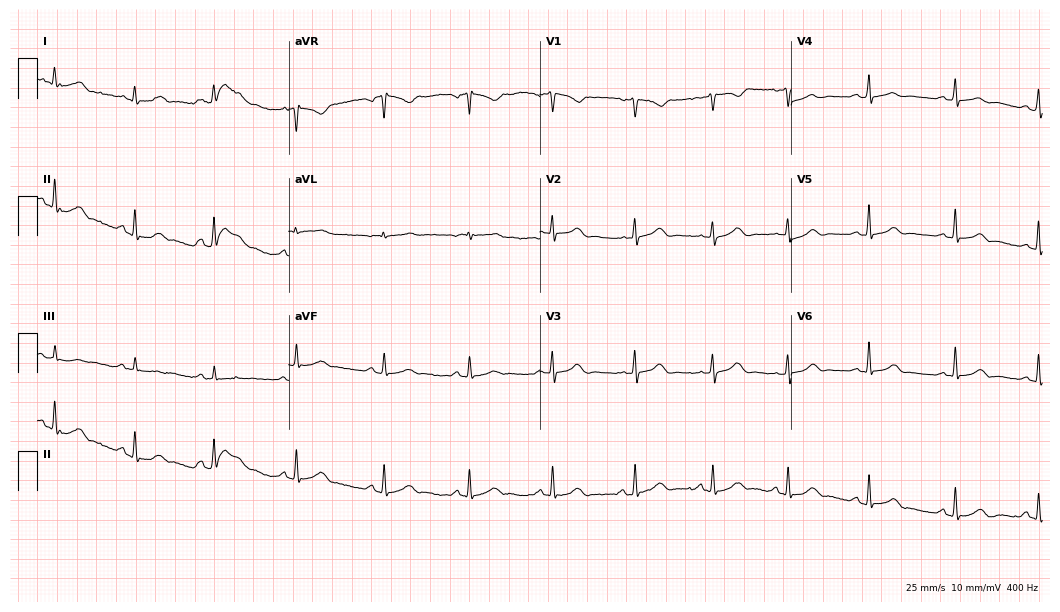
12-lead ECG (10.2-second recording at 400 Hz) from a 26-year-old female patient. Labelled as a normal ECG.